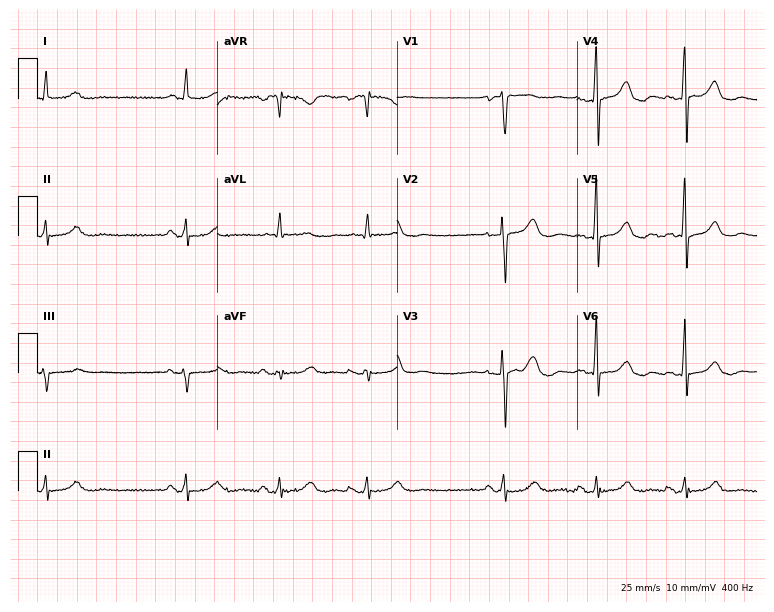
12-lead ECG from a 68-year-old female patient (7.3-second recording at 400 Hz). Recorded interpretation: within normal limits.